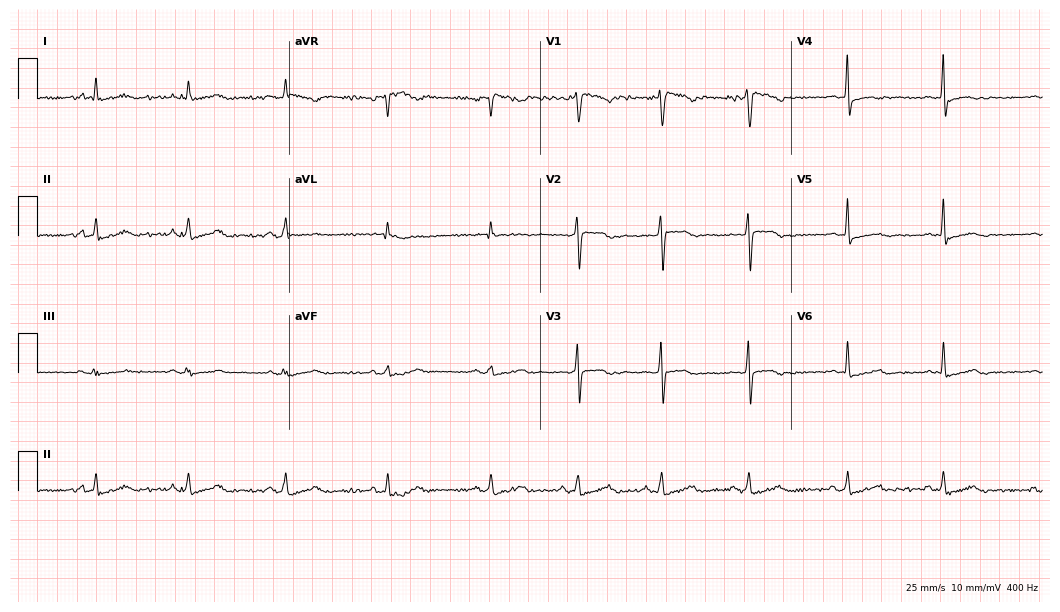
ECG — a woman, 50 years old. Screened for six findings — first-degree AV block, right bundle branch block (RBBB), left bundle branch block (LBBB), sinus bradycardia, atrial fibrillation (AF), sinus tachycardia — none is recorded. Only these six findings were labelled.